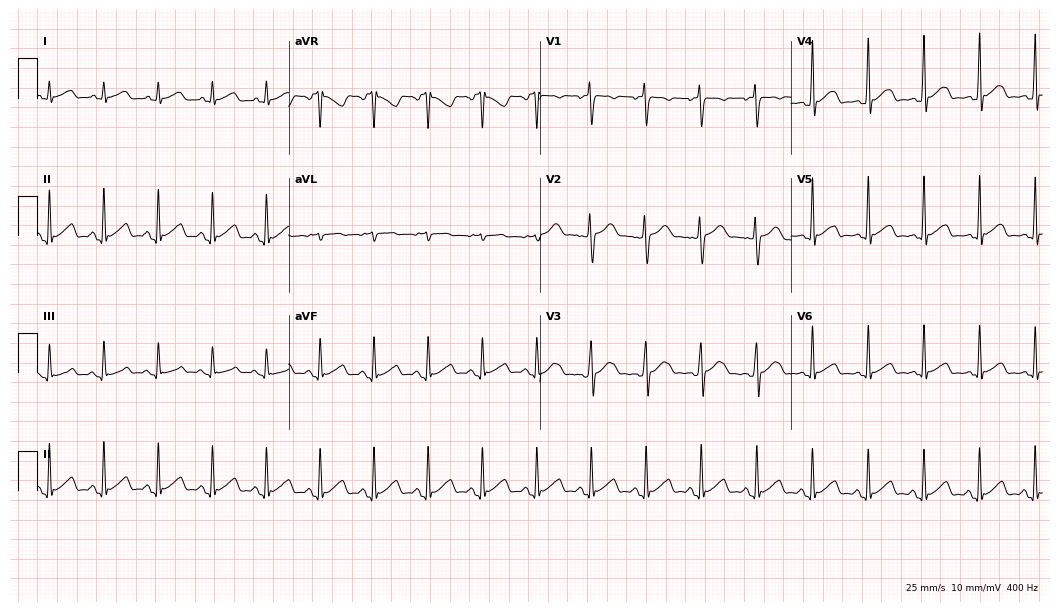
ECG (10.2-second recording at 400 Hz) — a man, 20 years old. Findings include sinus tachycardia (a sinus rate of 100 beats per minute or more).